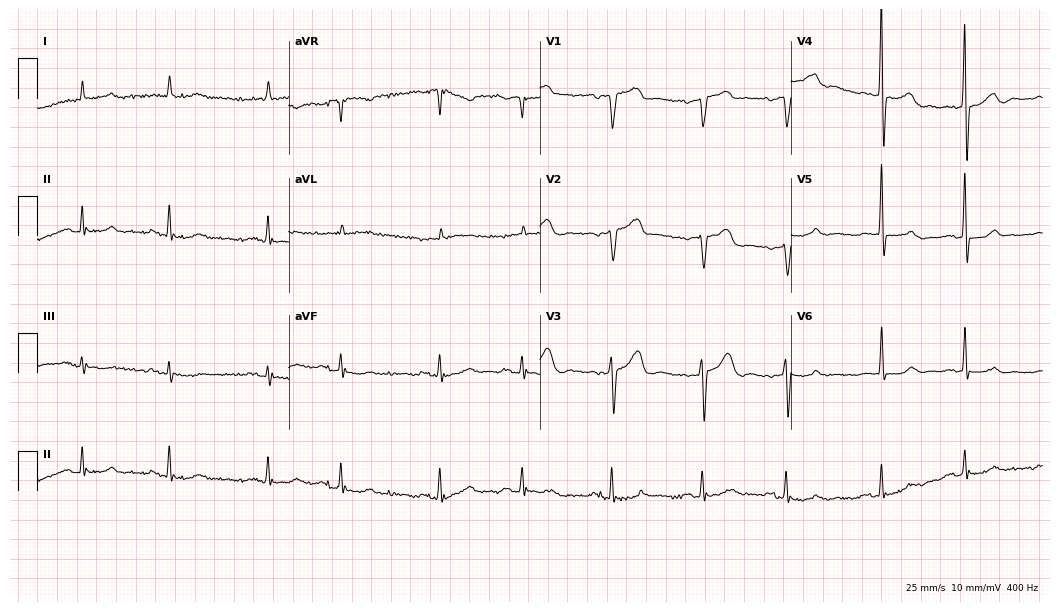
12-lead ECG (10.2-second recording at 400 Hz) from a woman, 82 years old. Screened for six findings — first-degree AV block, right bundle branch block, left bundle branch block, sinus bradycardia, atrial fibrillation, sinus tachycardia — none is recorded. Only these six findings were labelled.